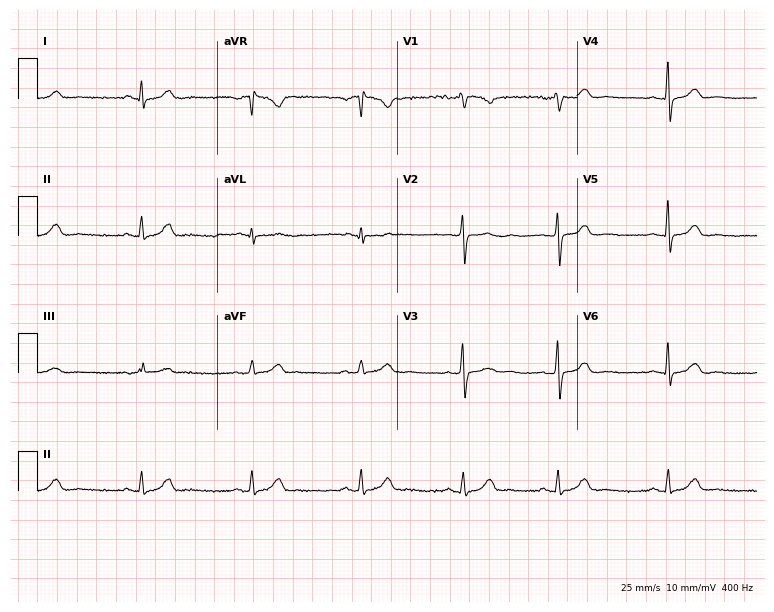
Standard 12-lead ECG recorded from a woman, 36 years old (7.3-second recording at 400 Hz). Read as a normal ECG.